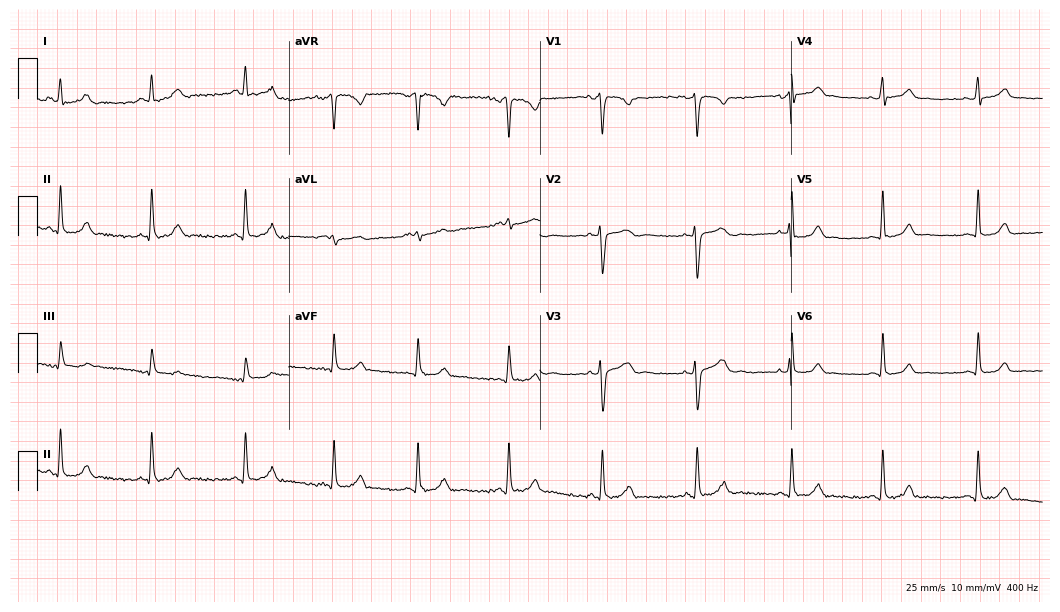
Resting 12-lead electrocardiogram (10.2-second recording at 400 Hz). Patient: a 26-year-old woman. Read as a normal ECG.